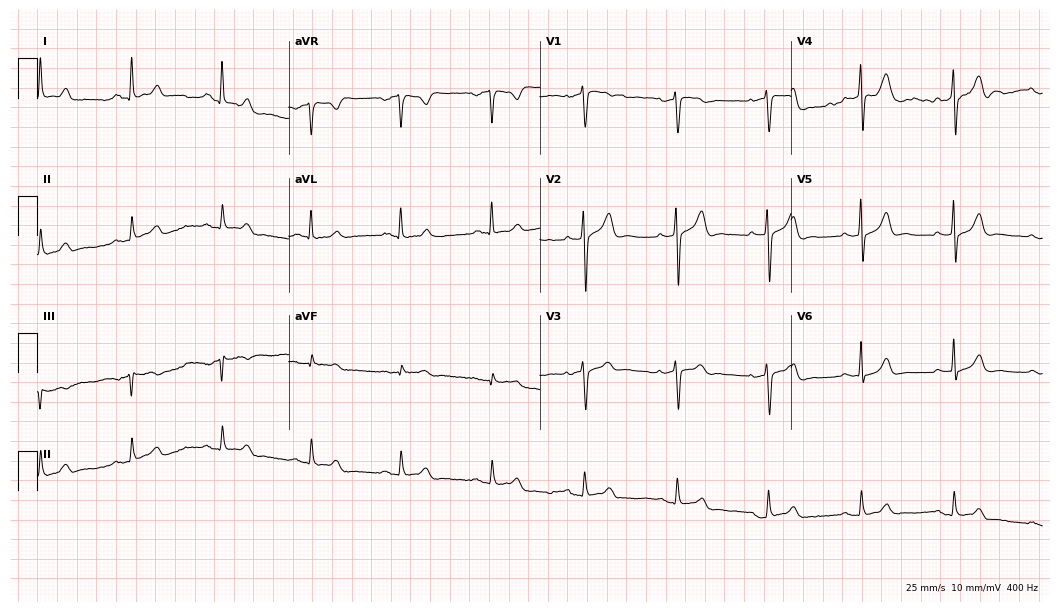
Standard 12-lead ECG recorded from a 52-year-old man. None of these six findings is recorded: first-degree AV block, right bundle branch block (RBBB), left bundle branch block (LBBB), sinus bradycardia, atrial fibrillation (AF), sinus tachycardia.